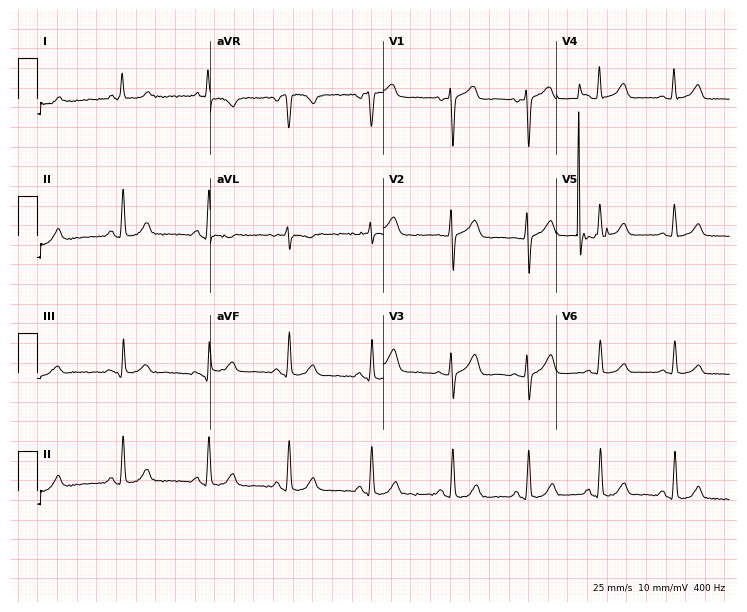
Resting 12-lead electrocardiogram. Patient: a woman, 69 years old. Read as a normal ECG.